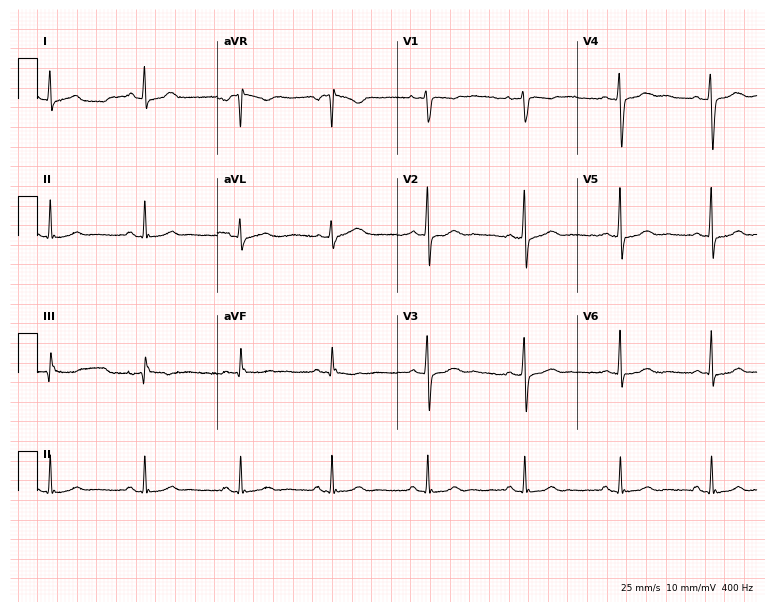
Standard 12-lead ECG recorded from a 32-year-old woman. Read as a normal ECG.